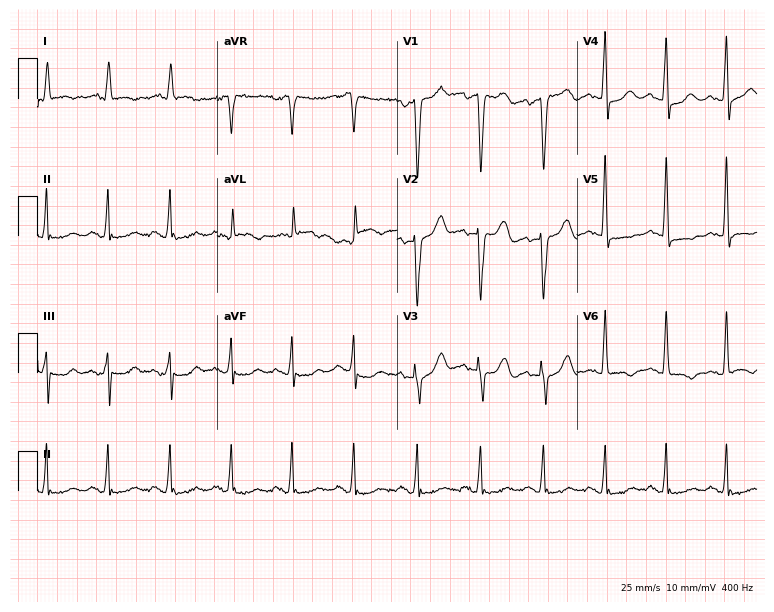
12-lead ECG from a male, 84 years old. Screened for six findings — first-degree AV block, right bundle branch block (RBBB), left bundle branch block (LBBB), sinus bradycardia, atrial fibrillation (AF), sinus tachycardia — none is recorded. Only these six findings were labelled.